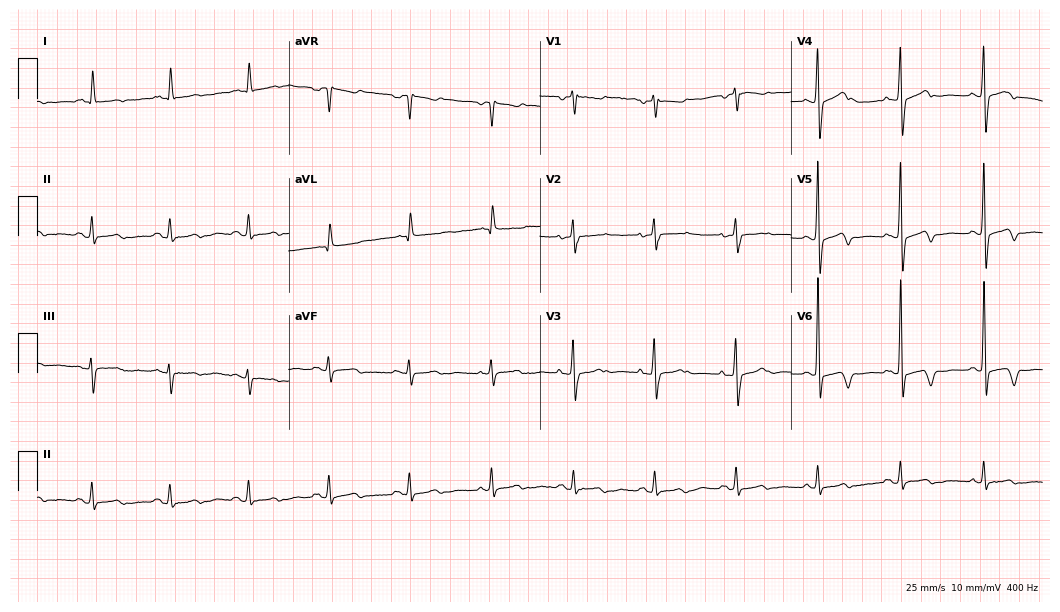
12-lead ECG from an 88-year-old male. No first-degree AV block, right bundle branch block (RBBB), left bundle branch block (LBBB), sinus bradycardia, atrial fibrillation (AF) or sinus tachycardia recorded for this tracing. Findings outside these six are not listed.